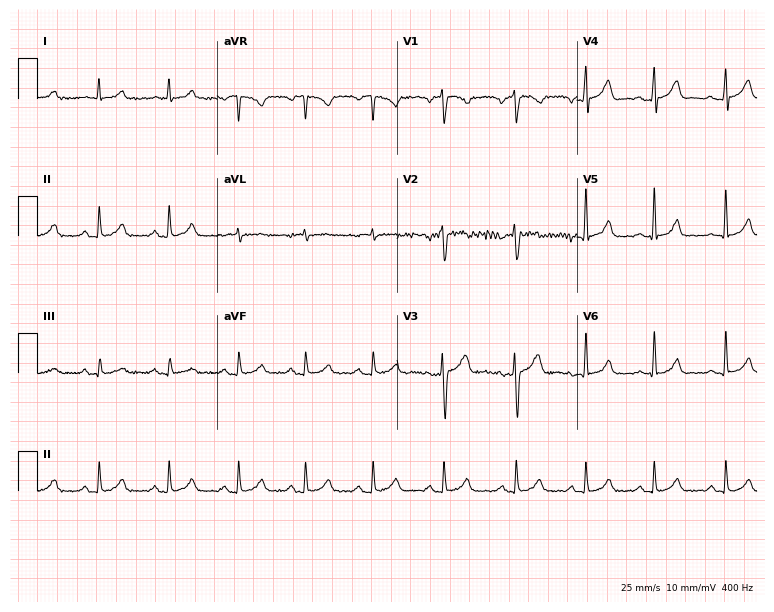
ECG (7.3-second recording at 400 Hz) — a male, 38 years old. Screened for six findings — first-degree AV block, right bundle branch block, left bundle branch block, sinus bradycardia, atrial fibrillation, sinus tachycardia — none is recorded.